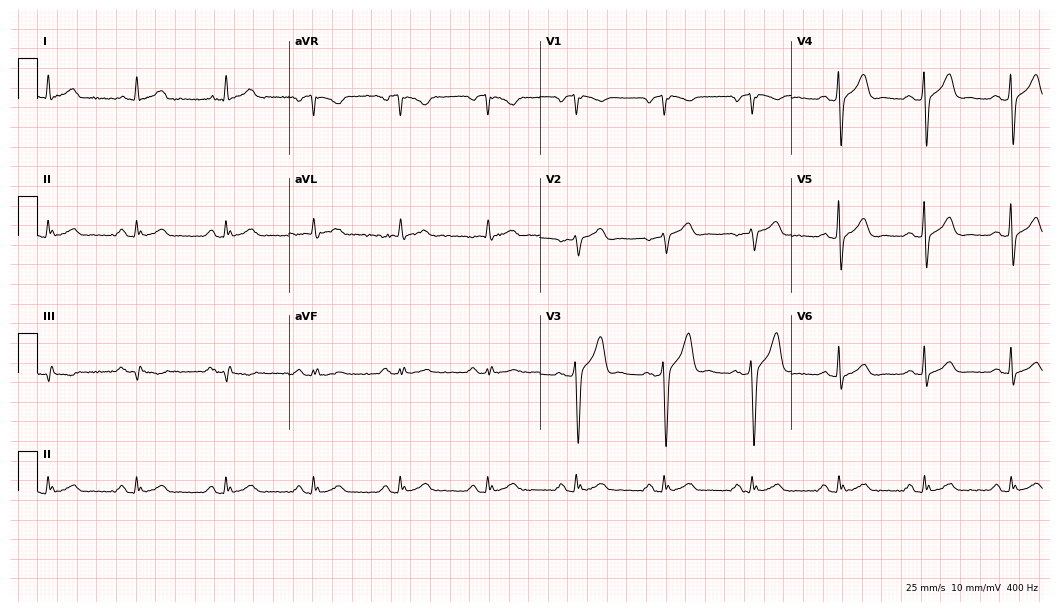
12-lead ECG from a 70-year-old man. Labelled as a normal ECG.